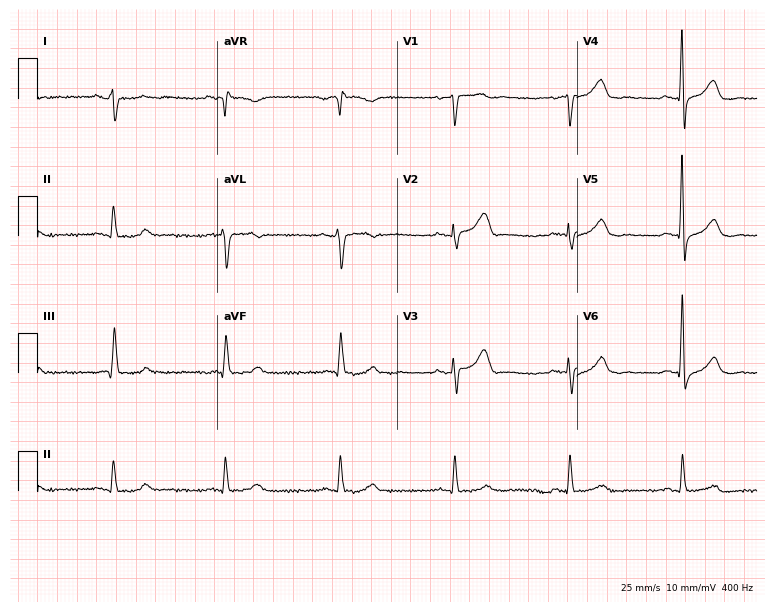
ECG — a 79-year-old male patient. Screened for six findings — first-degree AV block, right bundle branch block, left bundle branch block, sinus bradycardia, atrial fibrillation, sinus tachycardia — none is recorded.